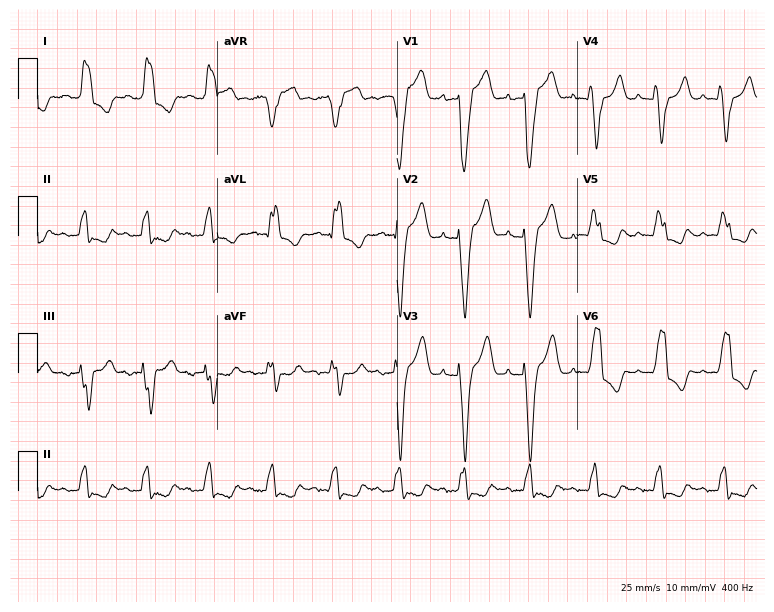
Standard 12-lead ECG recorded from an 80-year-old female patient. The tracing shows left bundle branch block (LBBB).